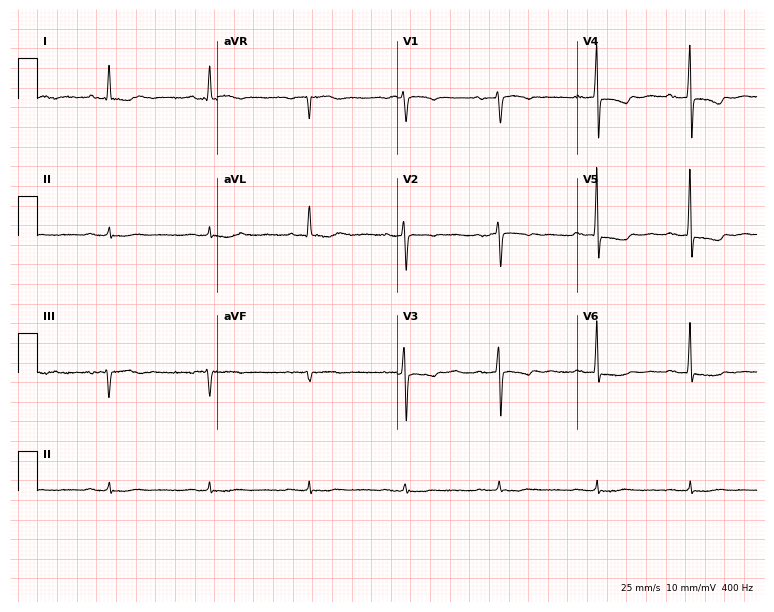
Resting 12-lead electrocardiogram (7.3-second recording at 400 Hz). Patient: a 75-year-old female. None of these six findings is recorded: first-degree AV block, right bundle branch block, left bundle branch block, sinus bradycardia, atrial fibrillation, sinus tachycardia. Other findings, if any, are not listed.